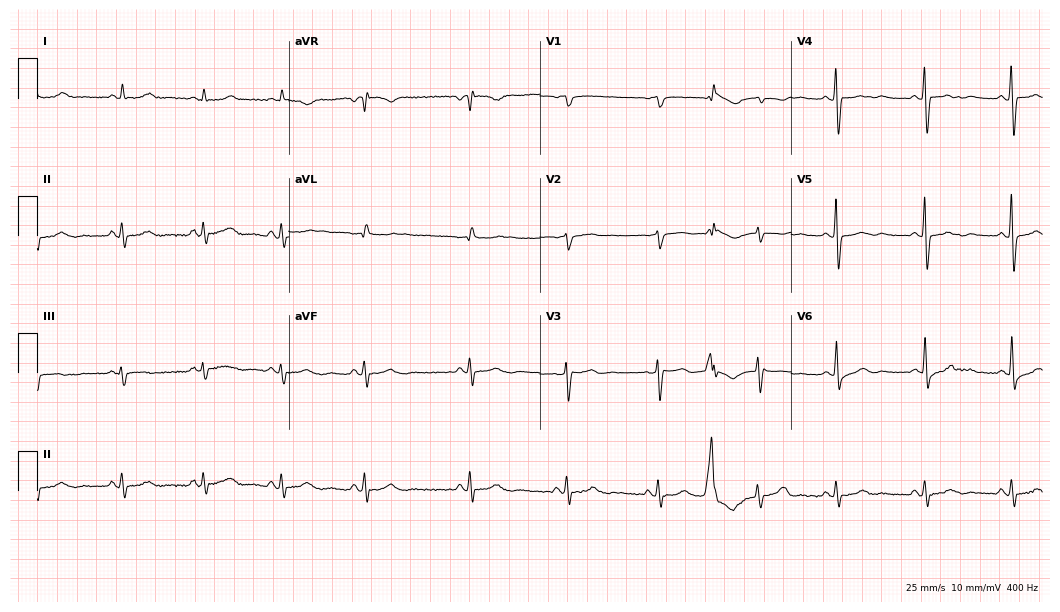
ECG — a female, 68 years old. Screened for six findings — first-degree AV block, right bundle branch block, left bundle branch block, sinus bradycardia, atrial fibrillation, sinus tachycardia — none is recorded. Only these six findings were labelled.